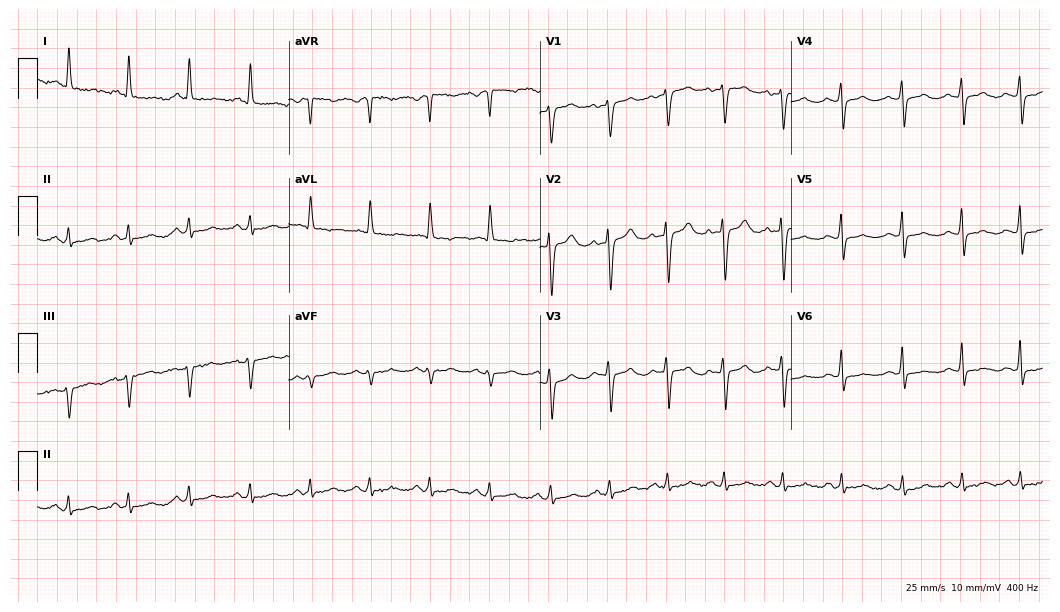
12-lead ECG from a 58-year-old woman. No first-degree AV block, right bundle branch block (RBBB), left bundle branch block (LBBB), sinus bradycardia, atrial fibrillation (AF) or sinus tachycardia recorded for this tracing.